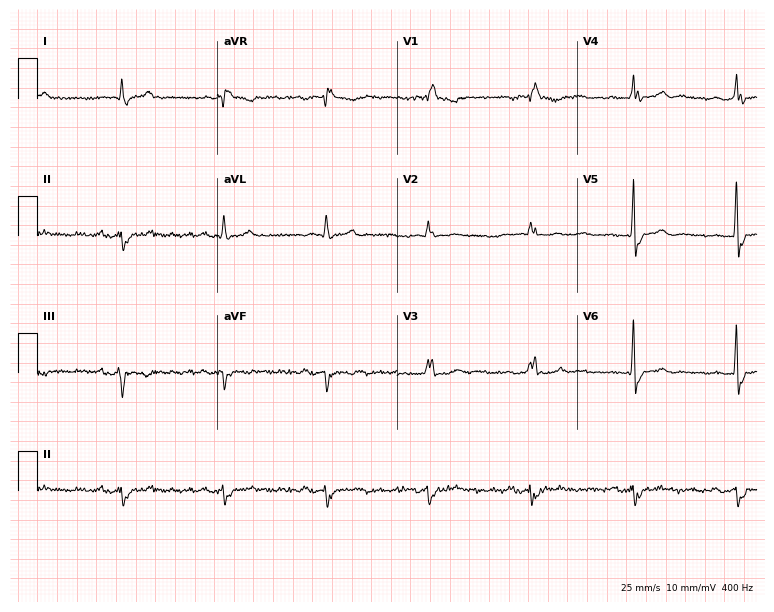
Electrocardiogram, a male, 78 years old. Of the six screened findings (first-degree AV block, right bundle branch block, left bundle branch block, sinus bradycardia, atrial fibrillation, sinus tachycardia), none is recorded. Other findings, if any, are not listed.